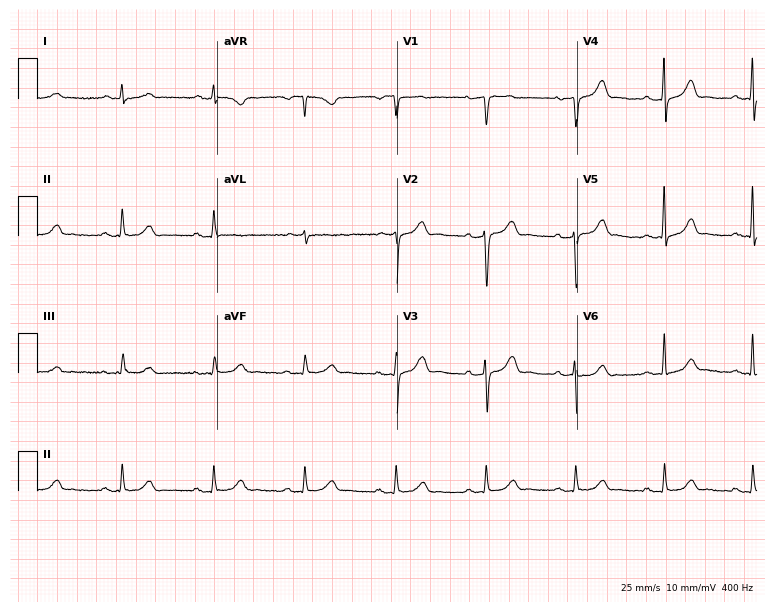
12-lead ECG from a male patient, 67 years old (7.3-second recording at 400 Hz). Recorded interpretation: within normal limits.